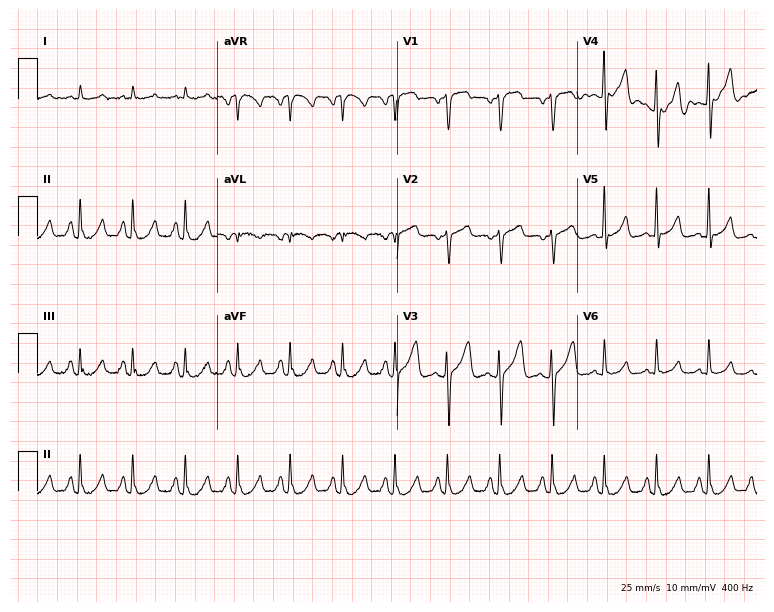
12-lead ECG from a male patient, 42 years old. Findings include sinus tachycardia (a sinus rate of 100 beats per minute or more).